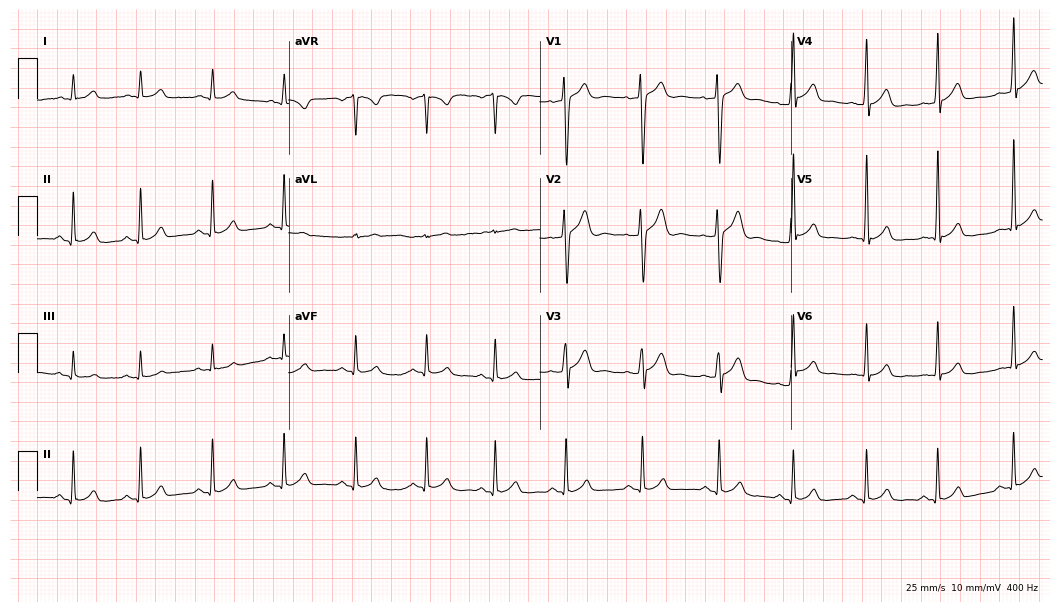
ECG — a 17-year-old male patient. Labelled as a normal ECG.